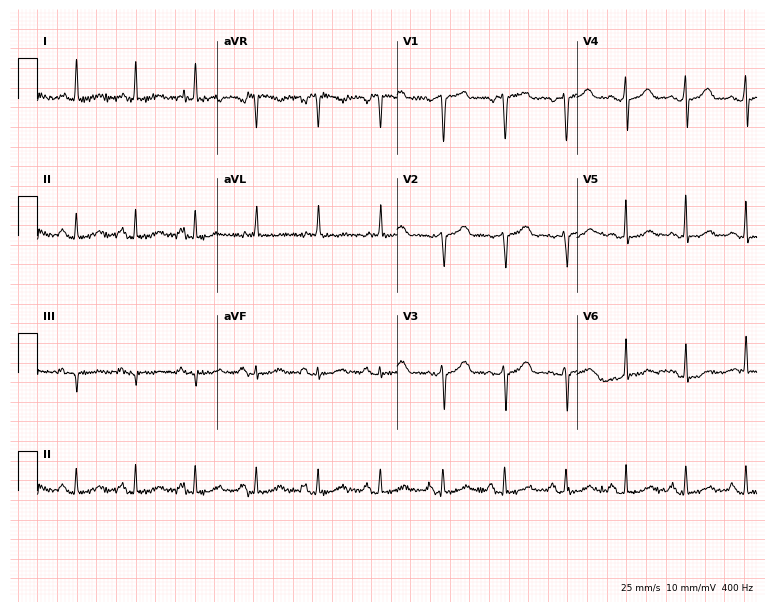
12-lead ECG from a 23-year-old female (7.3-second recording at 400 Hz). No first-degree AV block, right bundle branch block, left bundle branch block, sinus bradycardia, atrial fibrillation or sinus tachycardia recorded for this tracing. Other findings, if any, are not listed.